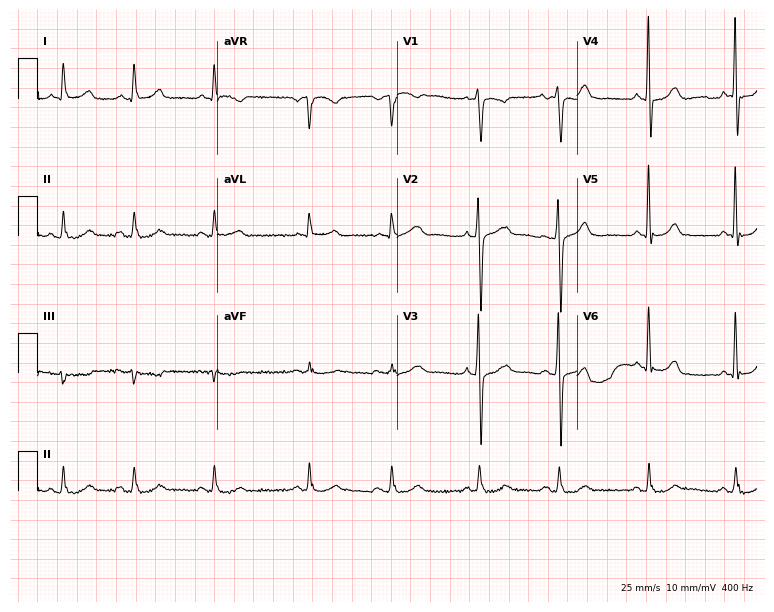
12-lead ECG from a male, 71 years old. Labelled as a normal ECG.